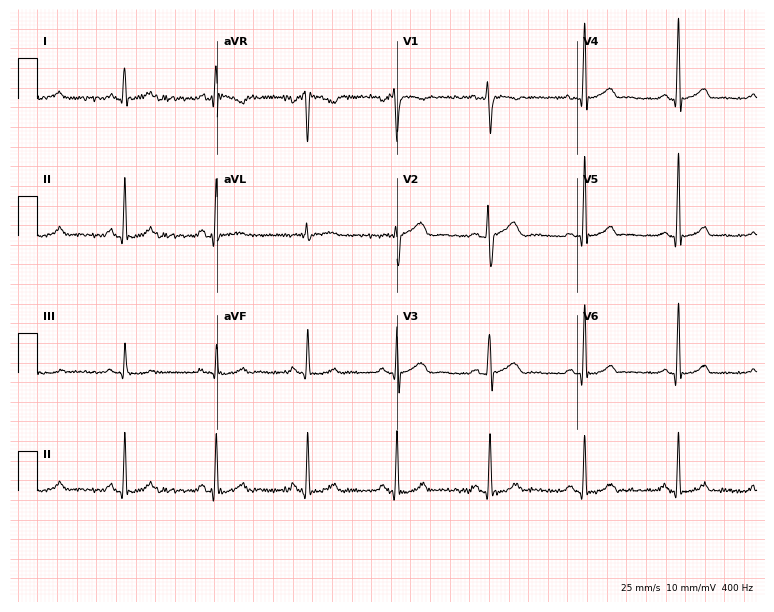
Resting 12-lead electrocardiogram. Patient: a 33-year-old female. None of these six findings is recorded: first-degree AV block, right bundle branch block (RBBB), left bundle branch block (LBBB), sinus bradycardia, atrial fibrillation (AF), sinus tachycardia. Other findings, if any, are not listed.